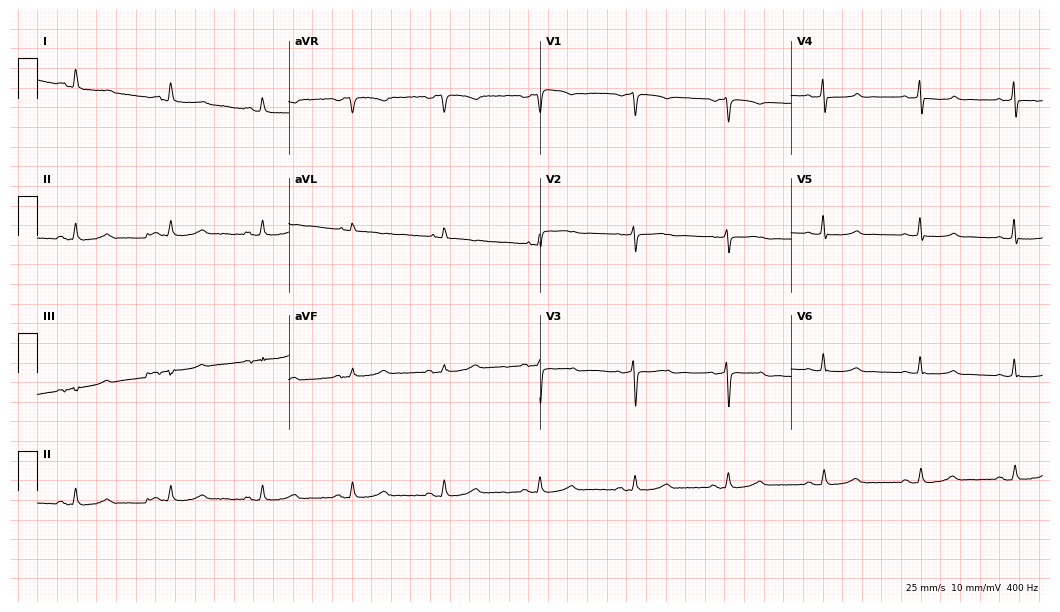
12-lead ECG from a female, 68 years old. No first-degree AV block, right bundle branch block, left bundle branch block, sinus bradycardia, atrial fibrillation or sinus tachycardia recorded for this tracing.